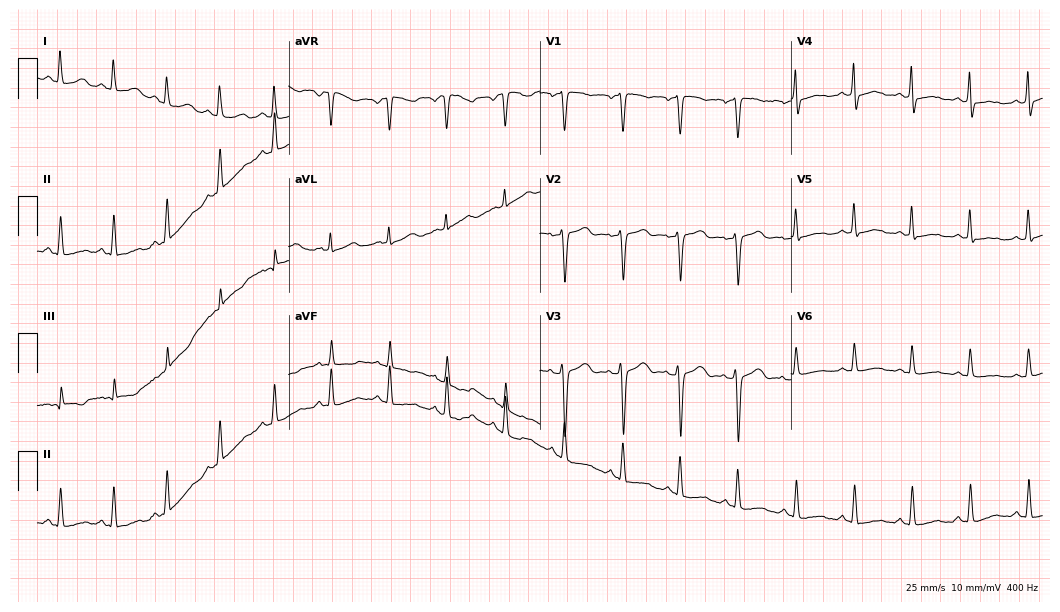
ECG — a female patient, 37 years old. Findings include sinus tachycardia (a sinus rate of 100 beats per minute or more).